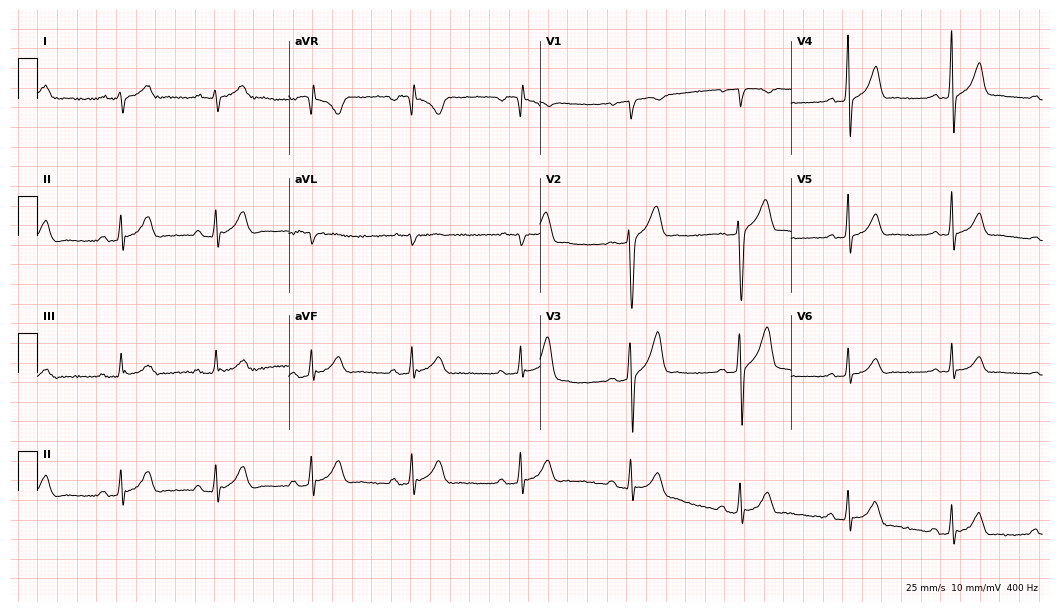
Standard 12-lead ECG recorded from a male, 38 years old (10.2-second recording at 400 Hz). None of these six findings is recorded: first-degree AV block, right bundle branch block (RBBB), left bundle branch block (LBBB), sinus bradycardia, atrial fibrillation (AF), sinus tachycardia. Findings outside these six are not listed.